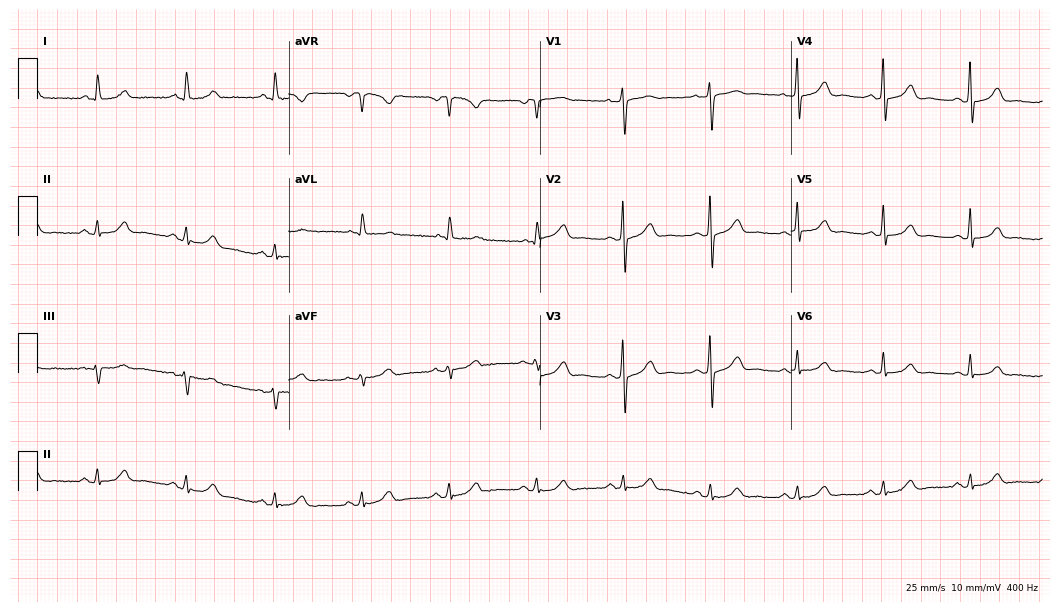
Electrocardiogram (10.2-second recording at 400 Hz), a 68-year-old female. Overall reading on record: normal ECG.